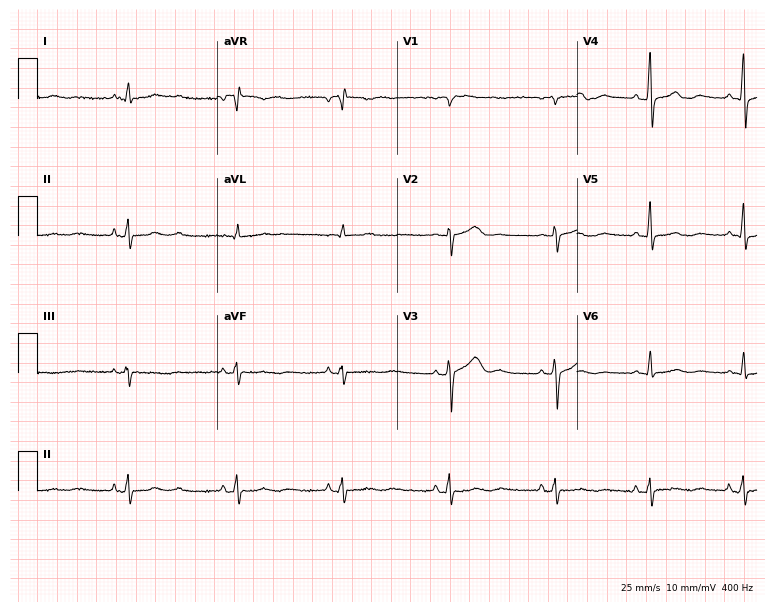
ECG (7.3-second recording at 400 Hz) — a 36-year-old female. Screened for six findings — first-degree AV block, right bundle branch block (RBBB), left bundle branch block (LBBB), sinus bradycardia, atrial fibrillation (AF), sinus tachycardia — none is recorded.